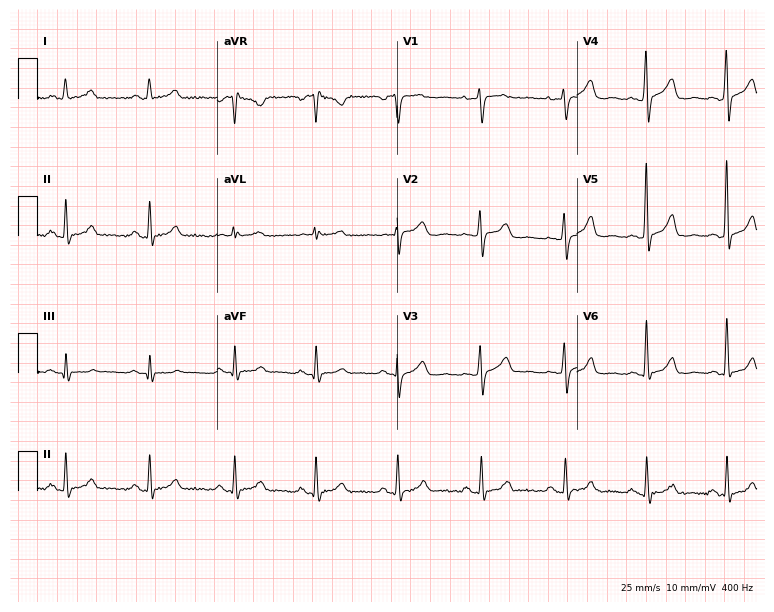
Resting 12-lead electrocardiogram. Patient: a female, 34 years old. None of these six findings is recorded: first-degree AV block, right bundle branch block, left bundle branch block, sinus bradycardia, atrial fibrillation, sinus tachycardia.